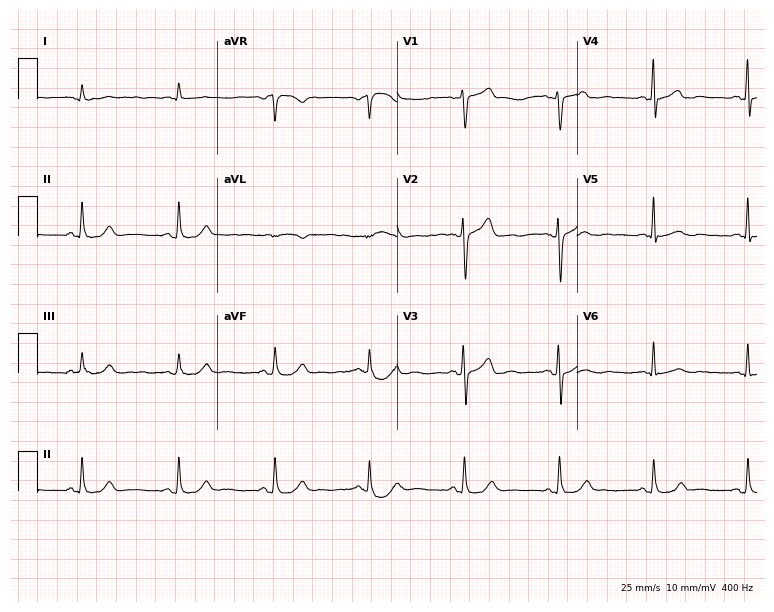
Resting 12-lead electrocardiogram. Patient: a 59-year-old male. None of these six findings is recorded: first-degree AV block, right bundle branch block, left bundle branch block, sinus bradycardia, atrial fibrillation, sinus tachycardia.